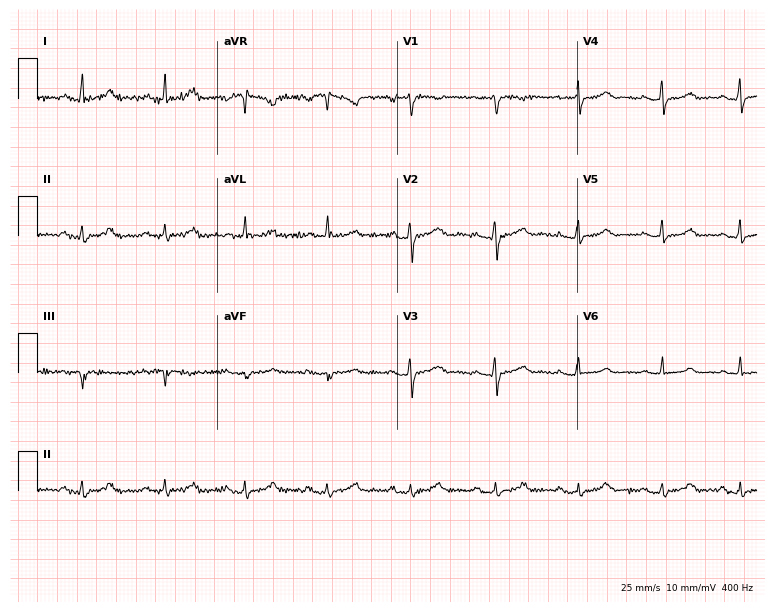
12-lead ECG from a 29-year-old female patient. Recorded interpretation: within normal limits.